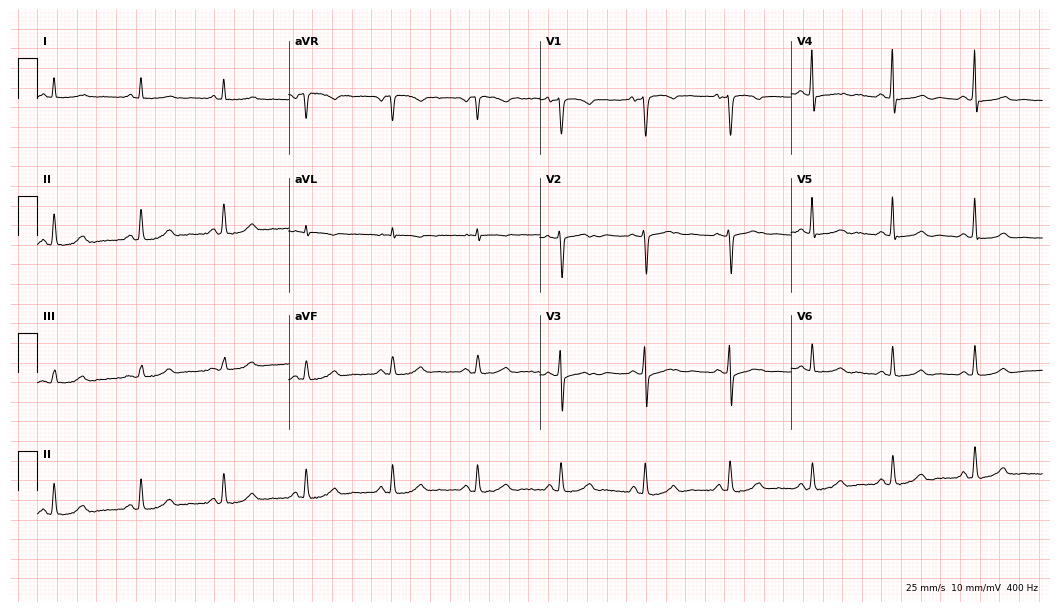
Standard 12-lead ECG recorded from a 56-year-old female (10.2-second recording at 400 Hz). Read as a normal ECG.